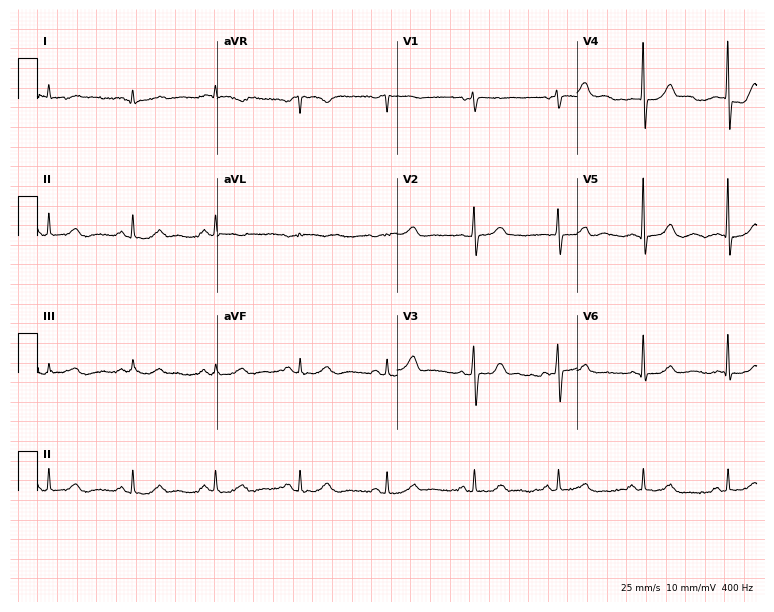
Electrocardiogram, a male, 68 years old. Overall reading on record: normal ECG.